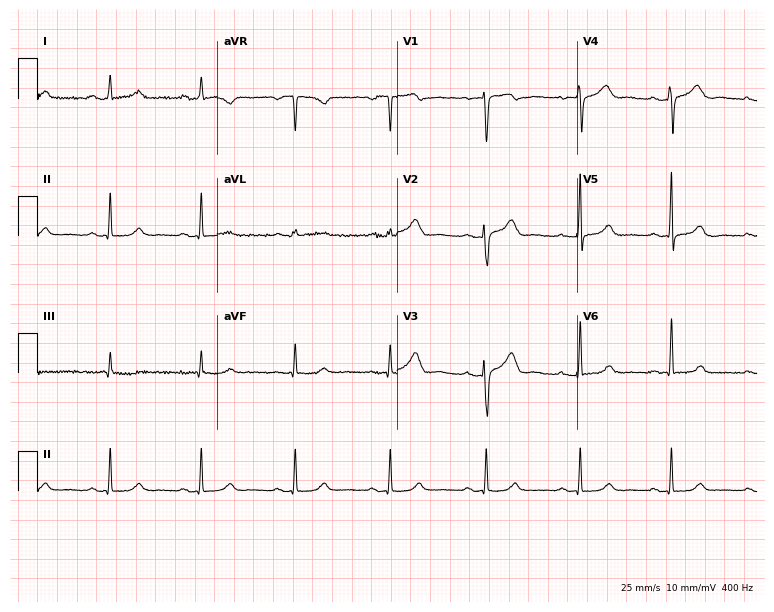
Standard 12-lead ECG recorded from a woman, 41 years old (7.3-second recording at 400 Hz). Read as a normal ECG.